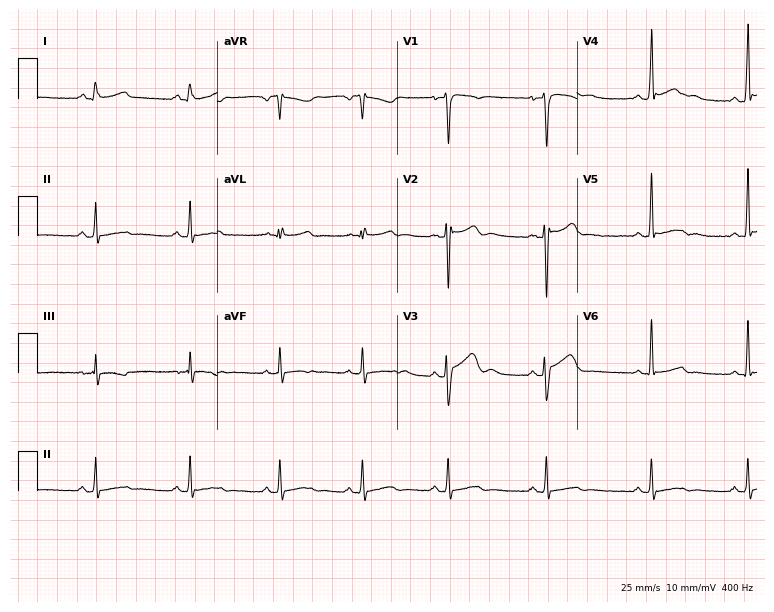
Standard 12-lead ECG recorded from a 24-year-old man. None of these six findings is recorded: first-degree AV block, right bundle branch block (RBBB), left bundle branch block (LBBB), sinus bradycardia, atrial fibrillation (AF), sinus tachycardia.